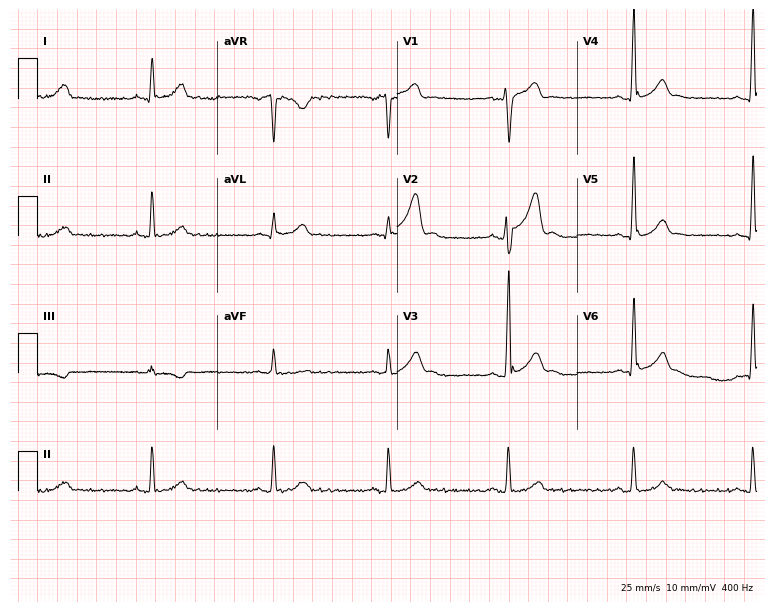
Standard 12-lead ECG recorded from a 25-year-old male patient. Read as a normal ECG.